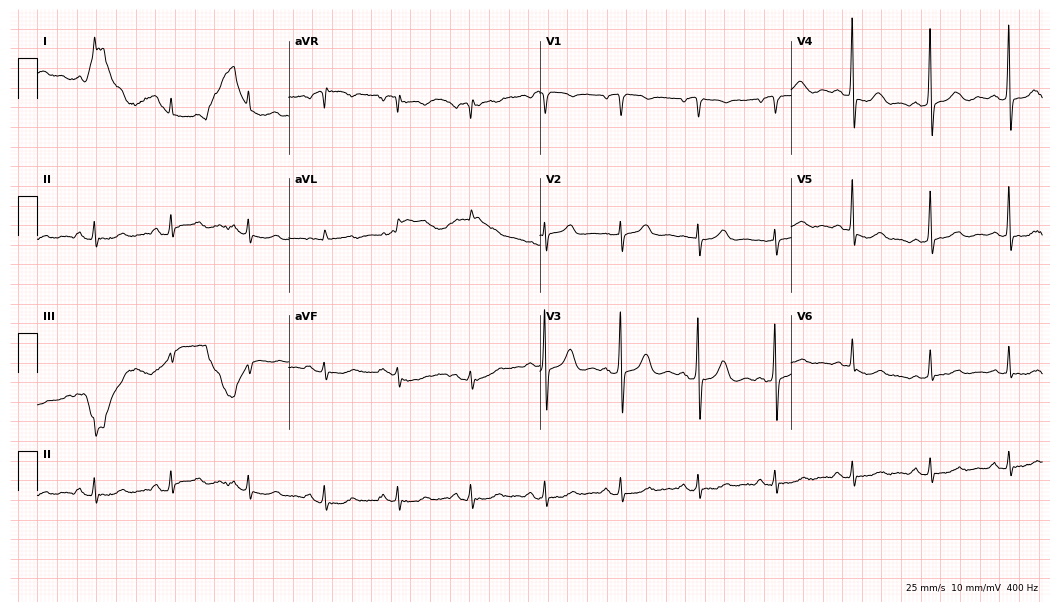
Resting 12-lead electrocardiogram (10.2-second recording at 400 Hz). Patient: a male, 71 years old. Read as a normal ECG.